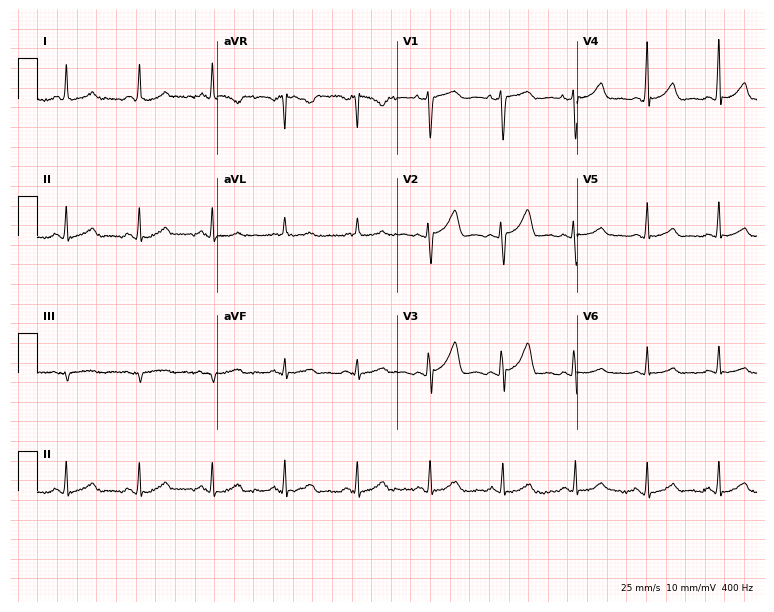
12-lead ECG from a 52-year-old female patient (7.3-second recording at 400 Hz). Recorded interpretation: within normal limits.